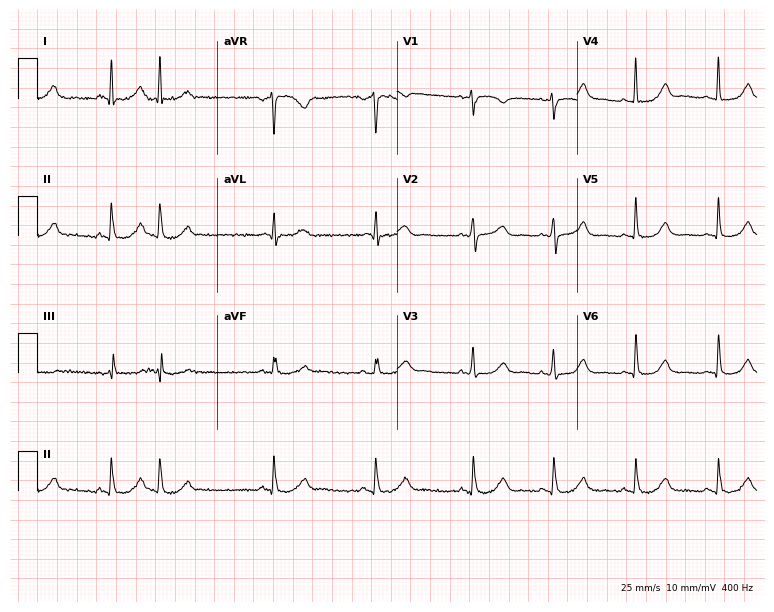
Electrocardiogram, a female patient, 70 years old. Of the six screened findings (first-degree AV block, right bundle branch block, left bundle branch block, sinus bradycardia, atrial fibrillation, sinus tachycardia), none is recorded.